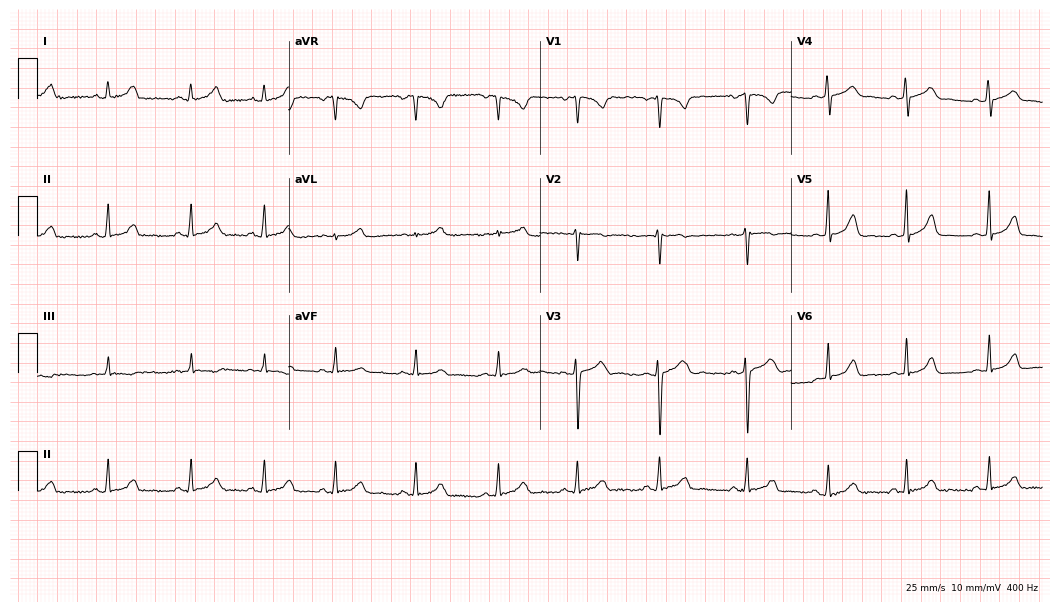
Resting 12-lead electrocardiogram (10.2-second recording at 400 Hz). Patient: a female, 20 years old. Read as a normal ECG.